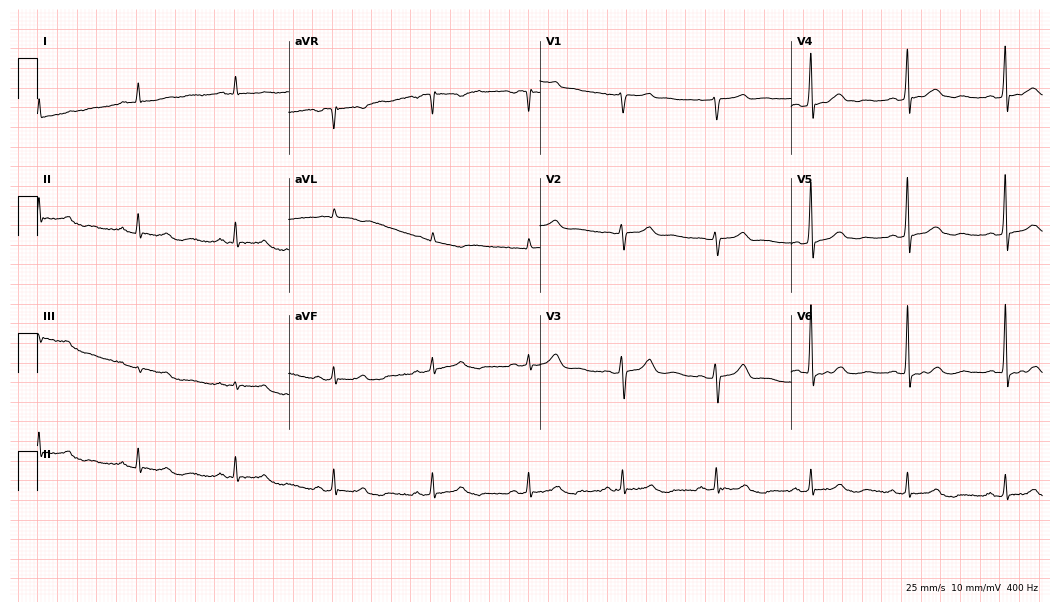
Electrocardiogram (10.2-second recording at 400 Hz), a male, 62 years old. Of the six screened findings (first-degree AV block, right bundle branch block, left bundle branch block, sinus bradycardia, atrial fibrillation, sinus tachycardia), none is recorded.